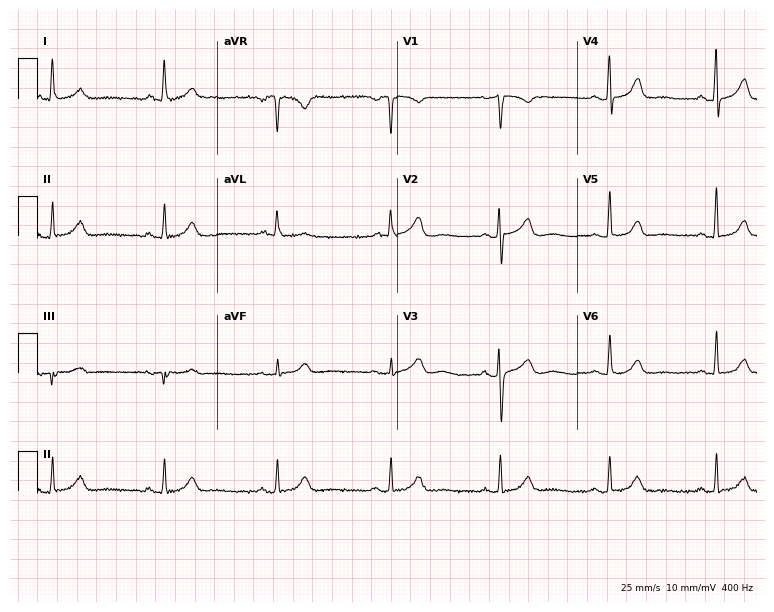
ECG — a 52-year-old woman. Screened for six findings — first-degree AV block, right bundle branch block, left bundle branch block, sinus bradycardia, atrial fibrillation, sinus tachycardia — none is recorded.